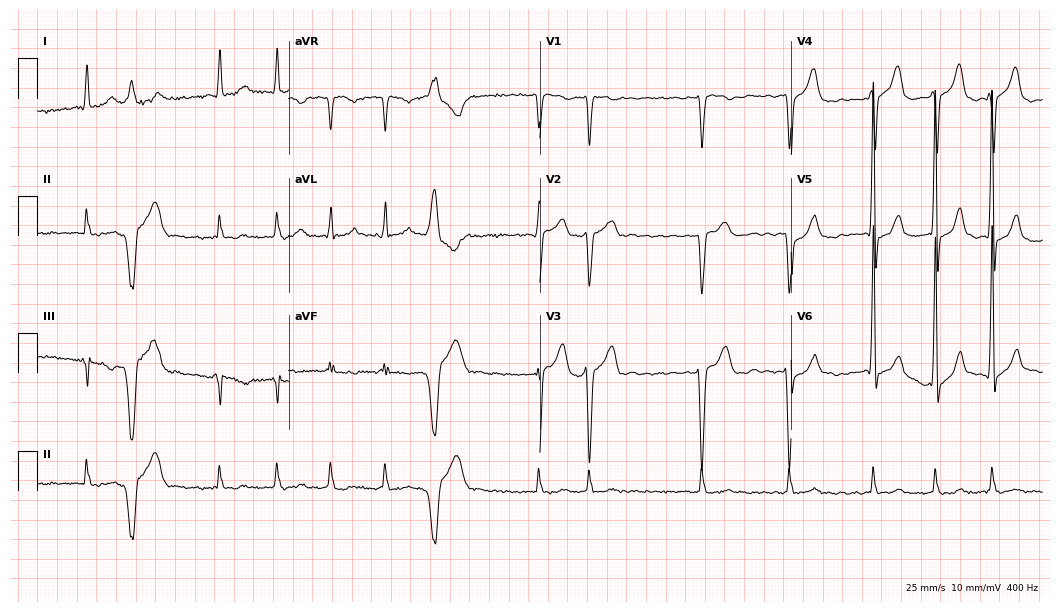
Standard 12-lead ECG recorded from a male patient, 78 years old (10.2-second recording at 400 Hz). The tracing shows atrial fibrillation (AF).